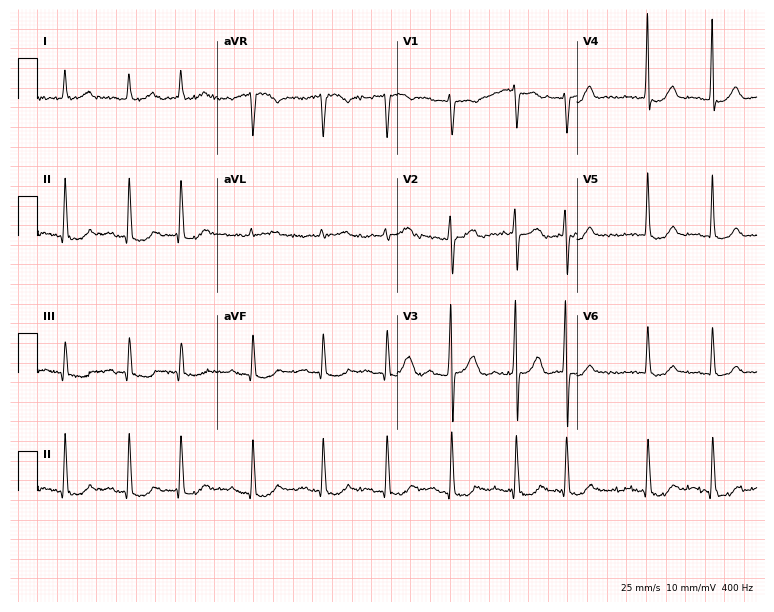
Electrocardiogram, a male patient, 78 years old. Interpretation includes atrial fibrillation.